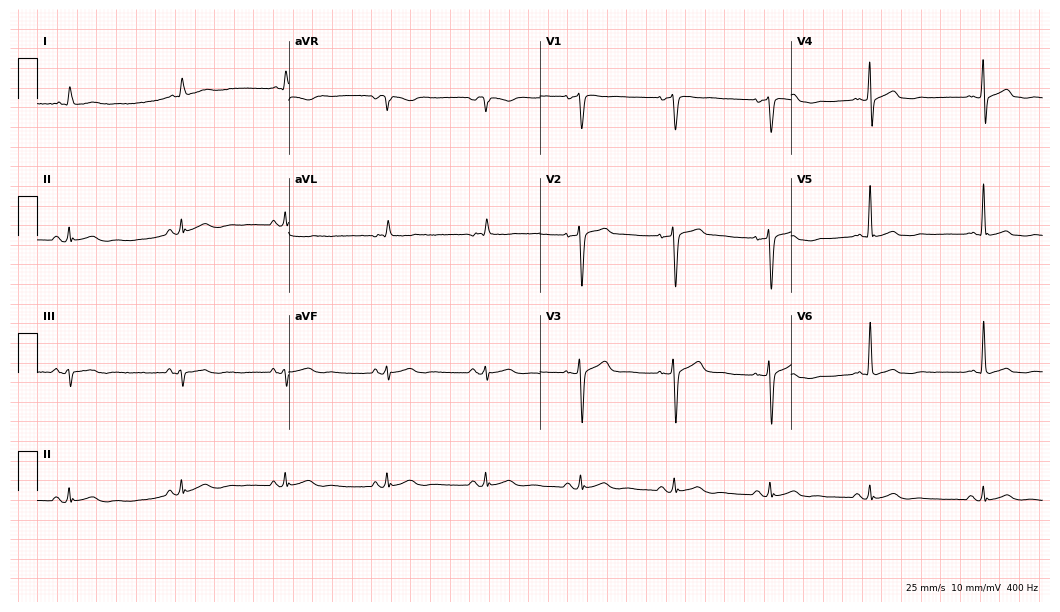
12-lead ECG from a male patient, 81 years old. Screened for six findings — first-degree AV block, right bundle branch block (RBBB), left bundle branch block (LBBB), sinus bradycardia, atrial fibrillation (AF), sinus tachycardia — none is recorded.